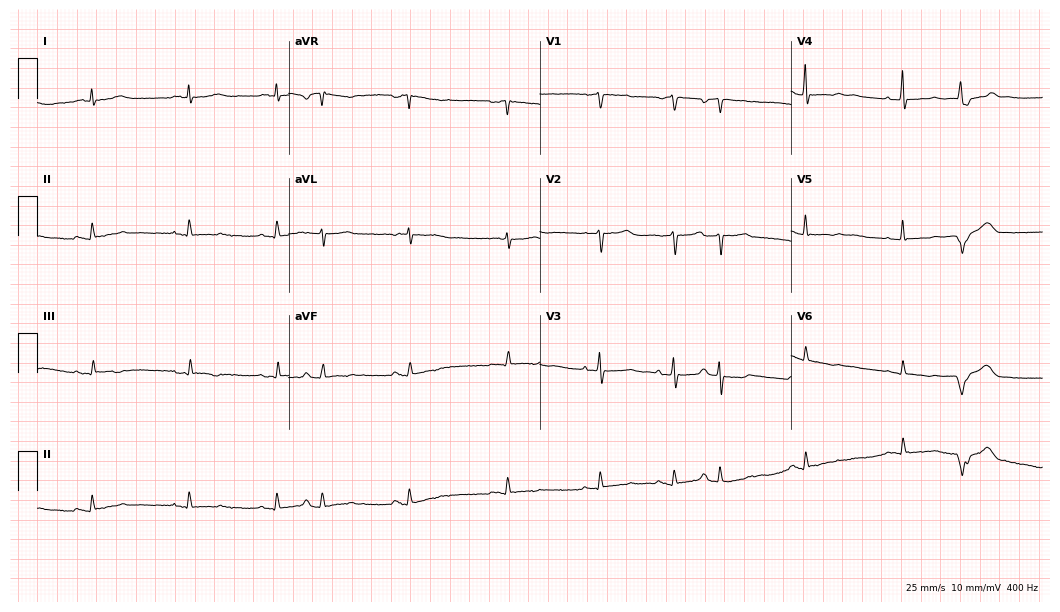
Standard 12-lead ECG recorded from a female, 78 years old. None of these six findings is recorded: first-degree AV block, right bundle branch block (RBBB), left bundle branch block (LBBB), sinus bradycardia, atrial fibrillation (AF), sinus tachycardia. Other findings, if any, are not listed.